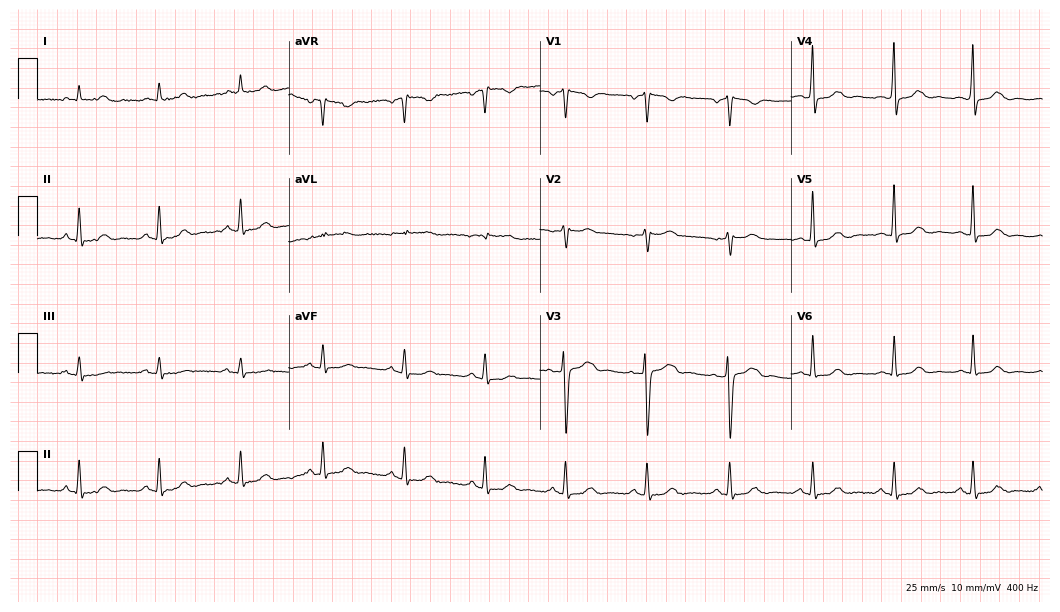
Resting 12-lead electrocardiogram (10.2-second recording at 400 Hz). Patient: a woman, 45 years old. Read as a normal ECG.